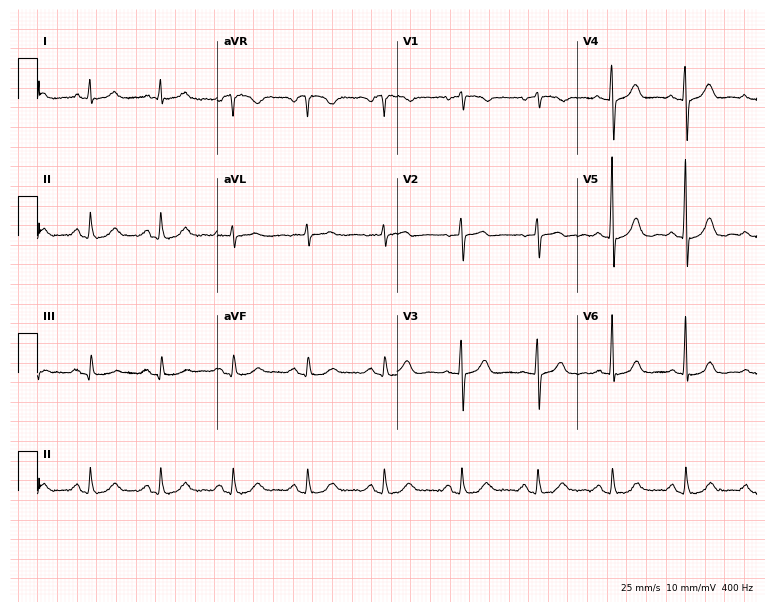
ECG (7.3-second recording at 400 Hz) — a woman, 76 years old. Labelled as a normal ECG.